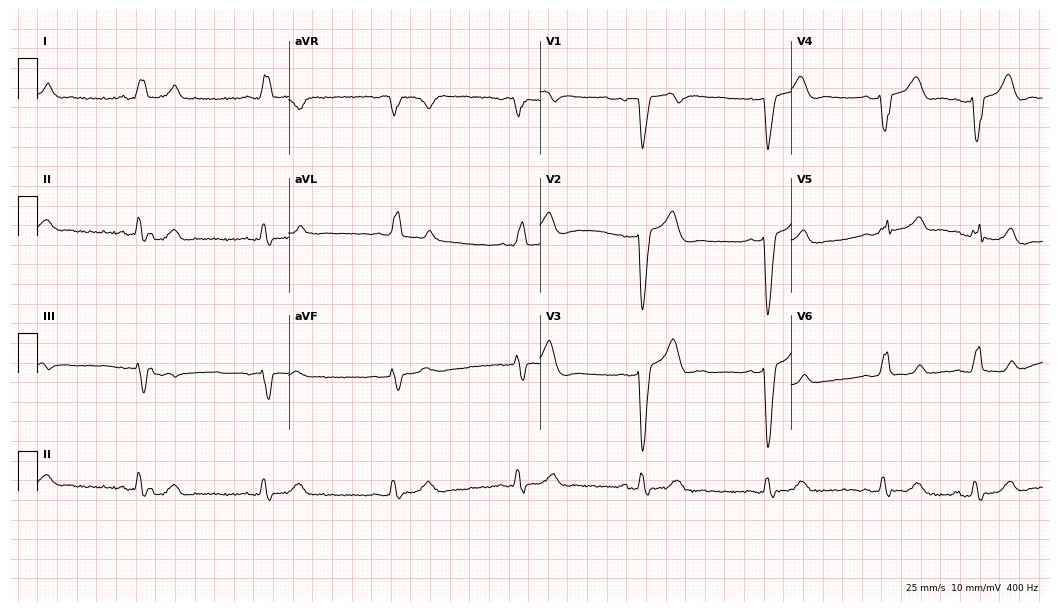
Electrocardiogram (10.2-second recording at 400 Hz), a 63-year-old woman. Of the six screened findings (first-degree AV block, right bundle branch block, left bundle branch block, sinus bradycardia, atrial fibrillation, sinus tachycardia), none is recorded.